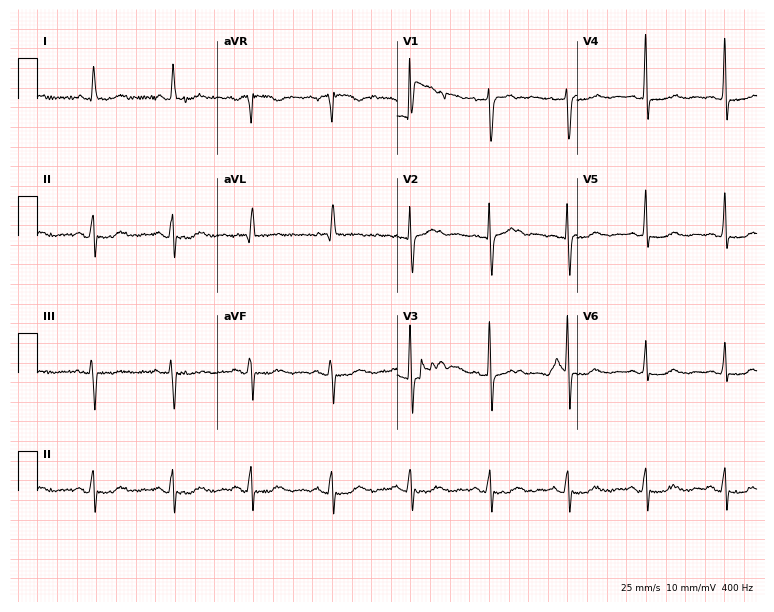
Electrocardiogram (7.3-second recording at 400 Hz), a woman, 67 years old. Of the six screened findings (first-degree AV block, right bundle branch block, left bundle branch block, sinus bradycardia, atrial fibrillation, sinus tachycardia), none is recorded.